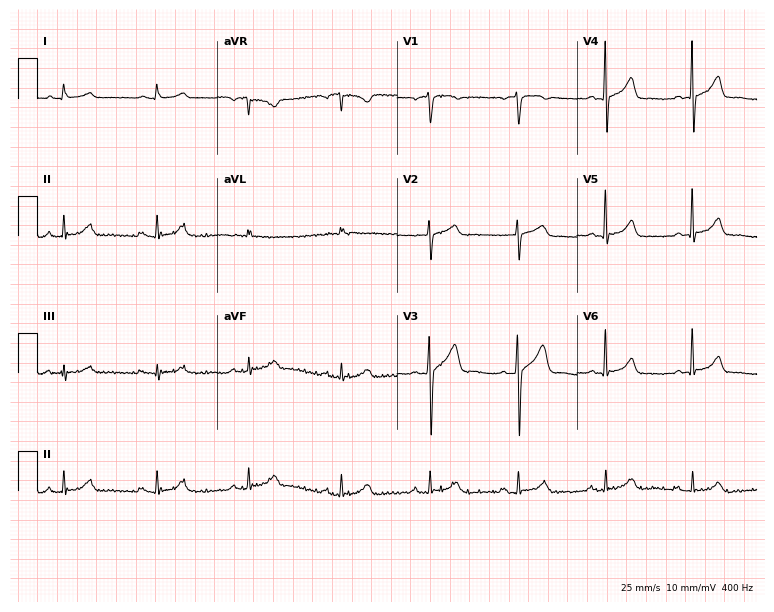
Standard 12-lead ECG recorded from a male, 62 years old (7.3-second recording at 400 Hz). Read as a normal ECG.